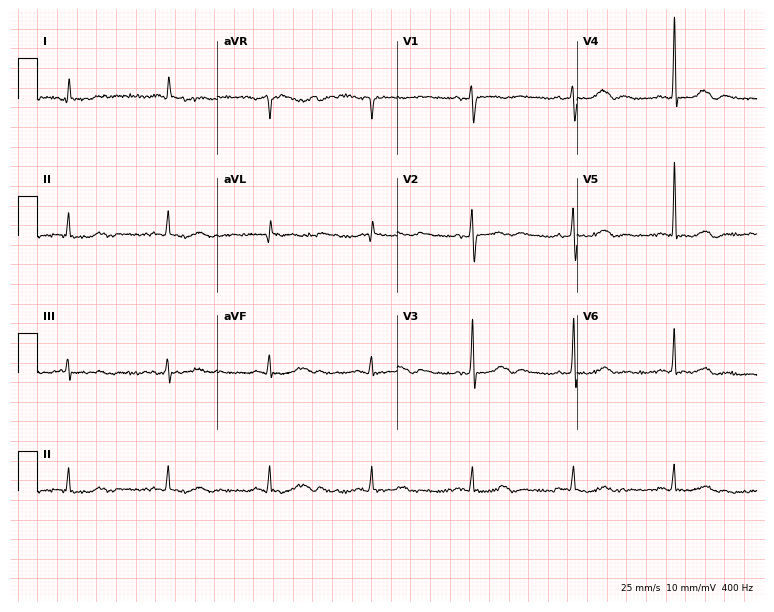
Standard 12-lead ECG recorded from a woman, 79 years old (7.3-second recording at 400 Hz). None of these six findings is recorded: first-degree AV block, right bundle branch block, left bundle branch block, sinus bradycardia, atrial fibrillation, sinus tachycardia. Only these six findings were labelled.